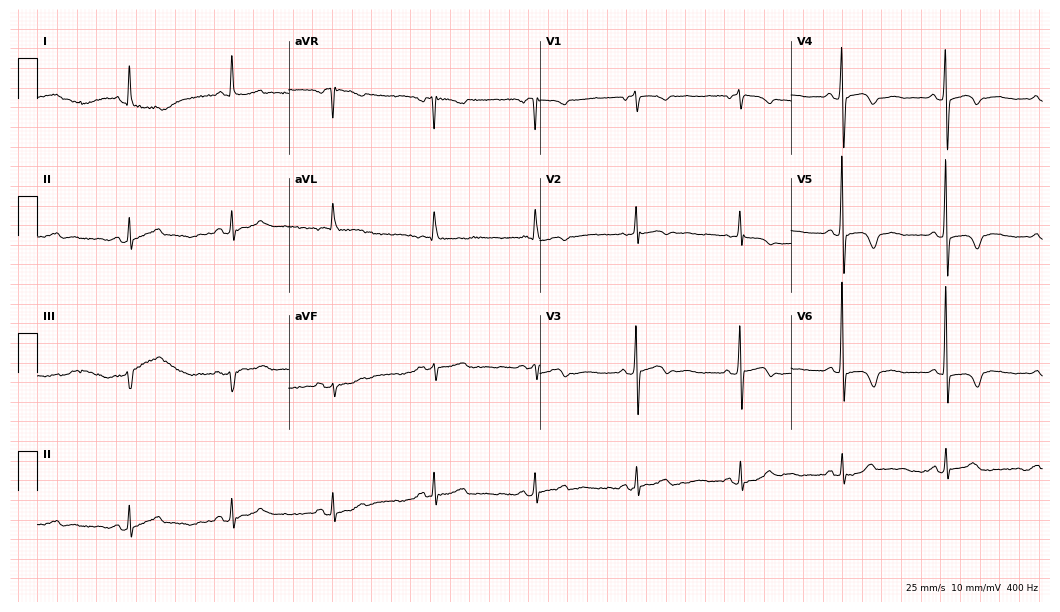
Electrocardiogram, an 83-year-old female. Of the six screened findings (first-degree AV block, right bundle branch block, left bundle branch block, sinus bradycardia, atrial fibrillation, sinus tachycardia), none is recorded. Other findings, if any, are not listed.